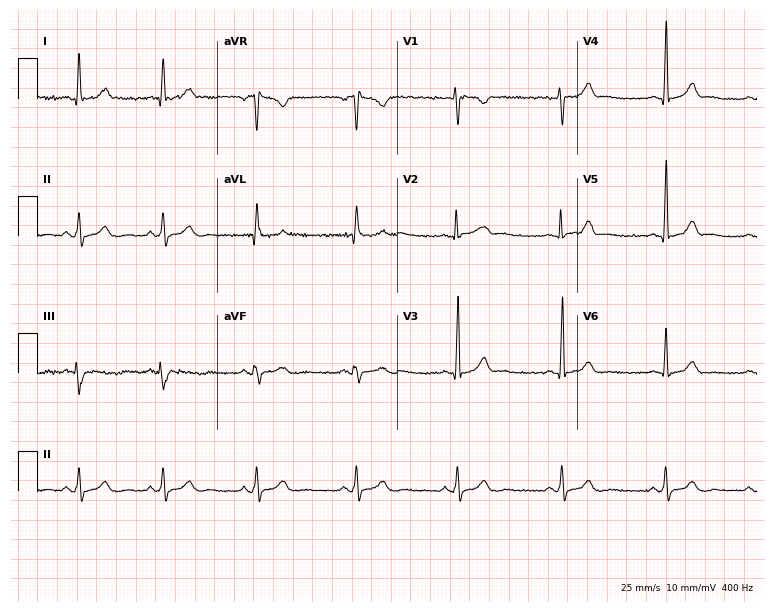
Standard 12-lead ECG recorded from a 26-year-old female patient. None of these six findings is recorded: first-degree AV block, right bundle branch block, left bundle branch block, sinus bradycardia, atrial fibrillation, sinus tachycardia.